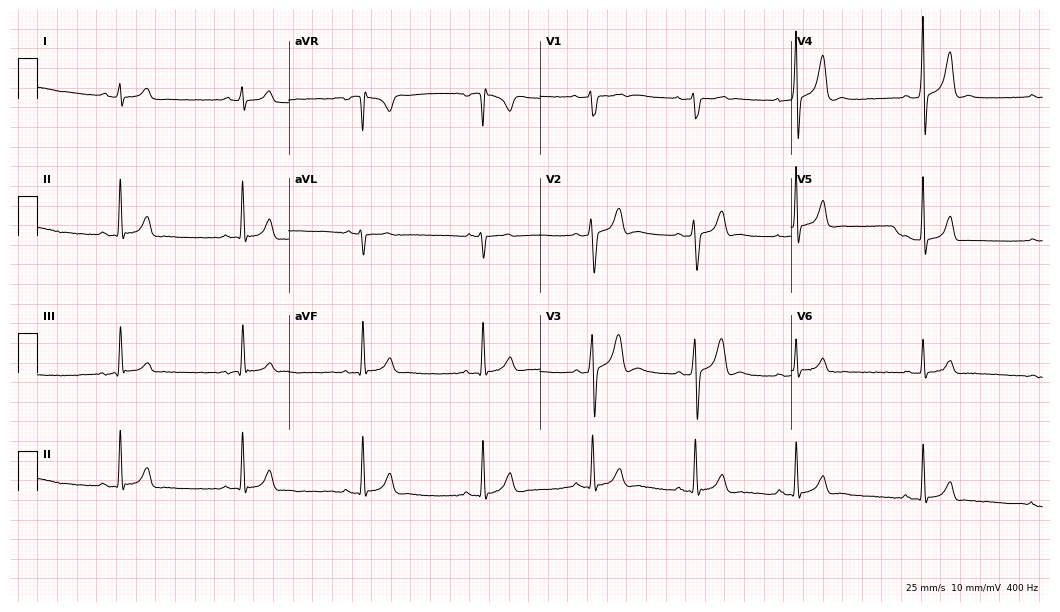
Standard 12-lead ECG recorded from a 21-year-old male (10.2-second recording at 400 Hz). None of these six findings is recorded: first-degree AV block, right bundle branch block (RBBB), left bundle branch block (LBBB), sinus bradycardia, atrial fibrillation (AF), sinus tachycardia.